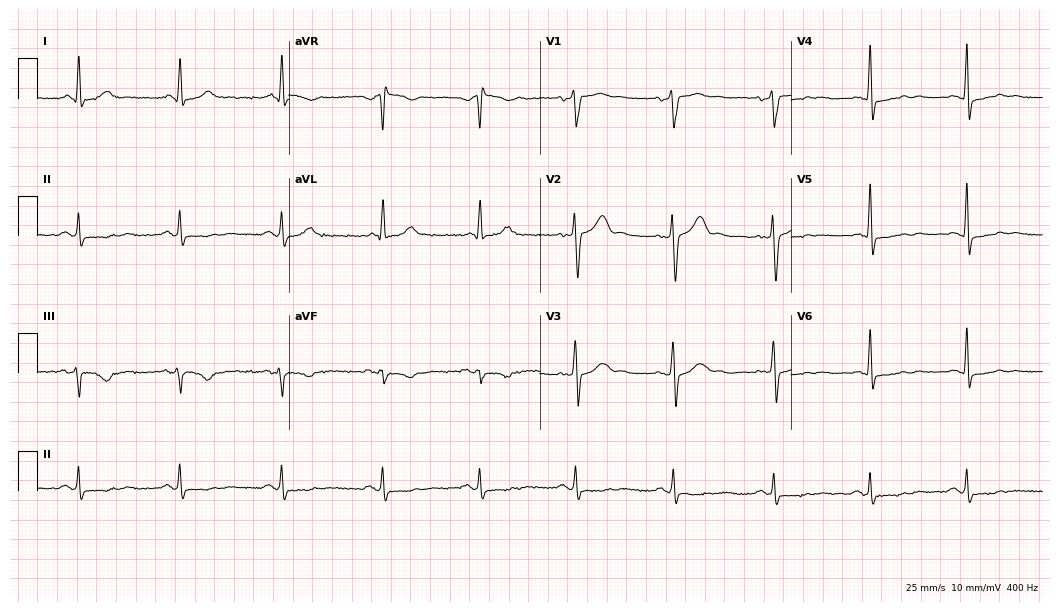
Standard 12-lead ECG recorded from a male, 39 years old. None of these six findings is recorded: first-degree AV block, right bundle branch block (RBBB), left bundle branch block (LBBB), sinus bradycardia, atrial fibrillation (AF), sinus tachycardia. Findings outside these six are not listed.